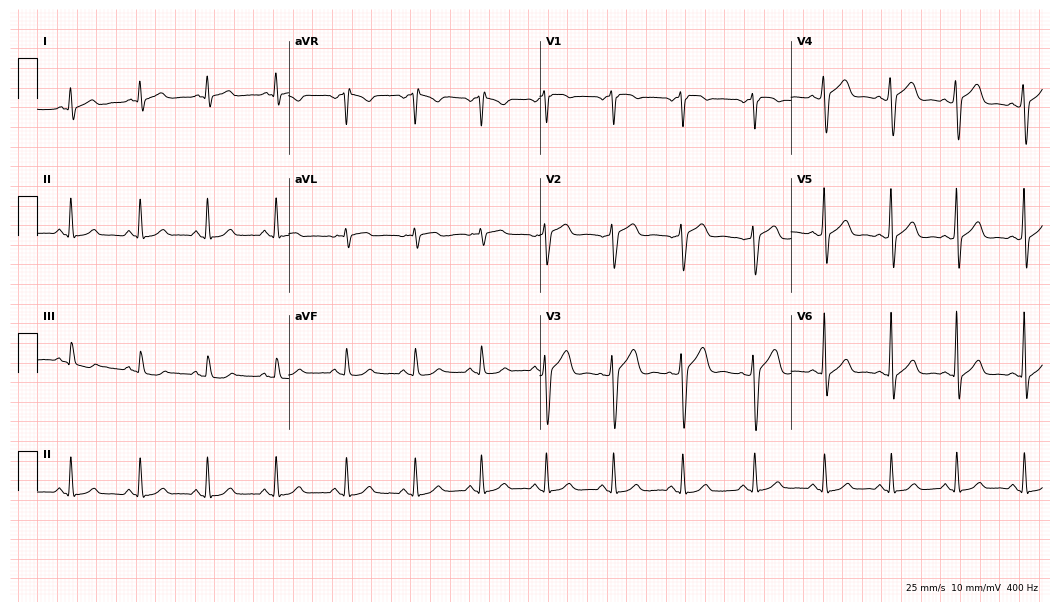
ECG — a man, 41 years old. Labelled as a normal ECG.